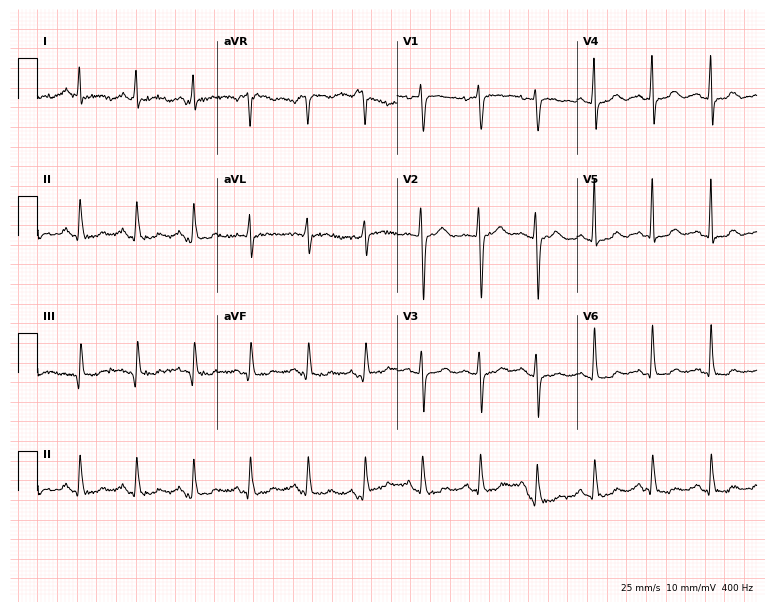
Standard 12-lead ECG recorded from a 71-year-old woman (7.3-second recording at 400 Hz). None of these six findings is recorded: first-degree AV block, right bundle branch block, left bundle branch block, sinus bradycardia, atrial fibrillation, sinus tachycardia. Only these six findings were labelled.